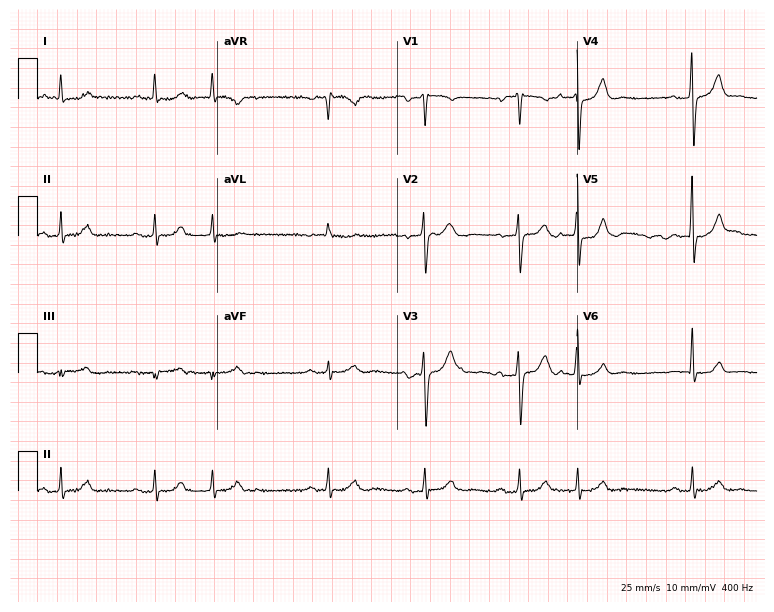
12-lead ECG (7.3-second recording at 400 Hz) from a 70-year-old man. Labelled as a normal ECG.